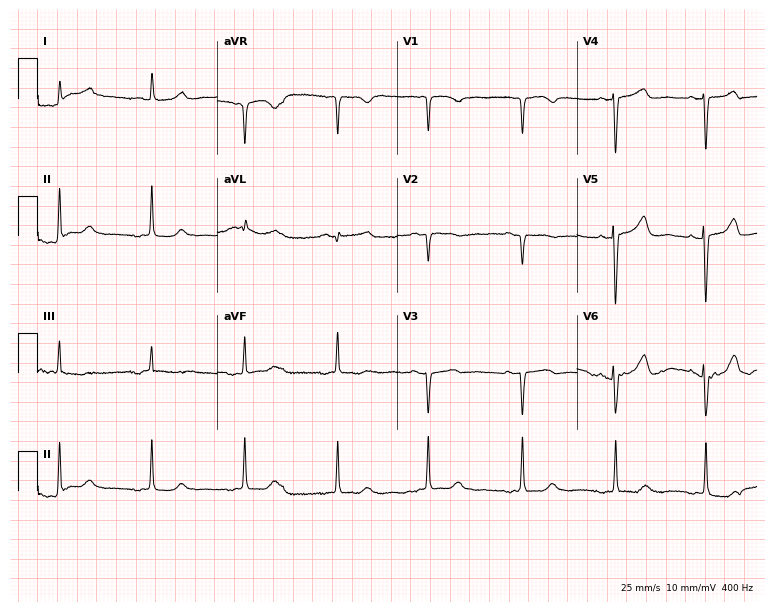
12-lead ECG from a woman, 80 years old (7.3-second recording at 400 Hz). No first-degree AV block, right bundle branch block, left bundle branch block, sinus bradycardia, atrial fibrillation or sinus tachycardia recorded for this tracing. Only these six findings were labelled.